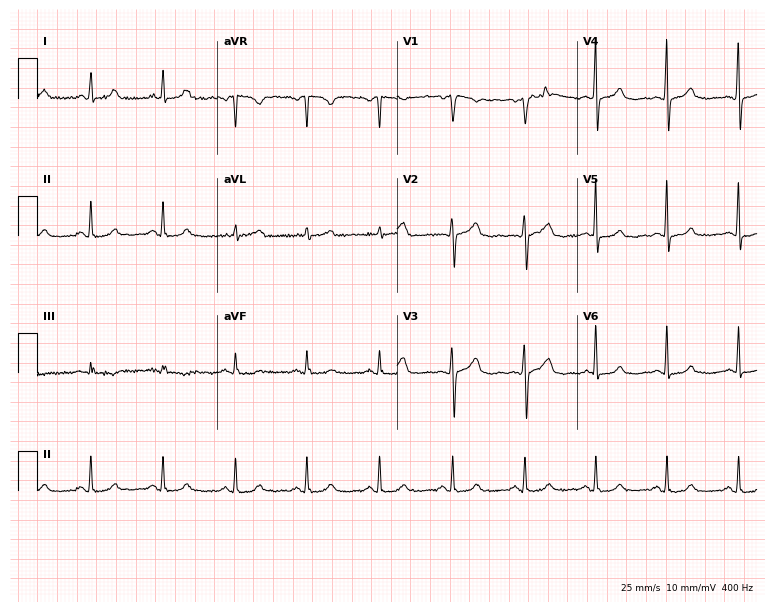
Standard 12-lead ECG recorded from a 53-year-old woman (7.3-second recording at 400 Hz). Read as a normal ECG.